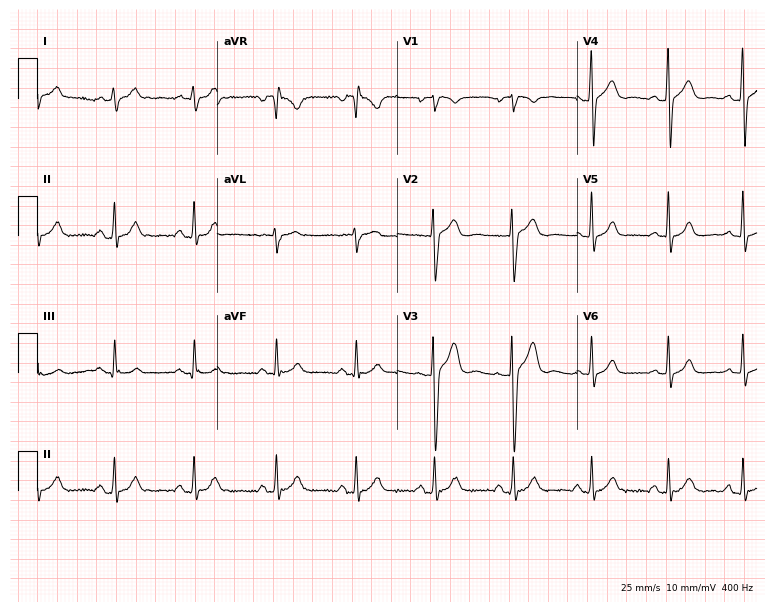
Resting 12-lead electrocardiogram (7.3-second recording at 400 Hz). Patient: a 30-year-old male. Read as a normal ECG.